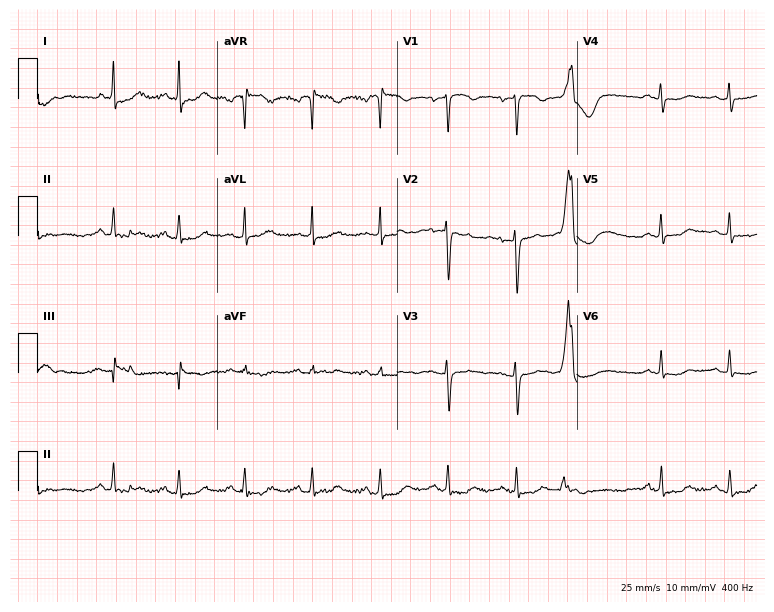
Resting 12-lead electrocardiogram. Patient: a 60-year-old female. None of these six findings is recorded: first-degree AV block, right bundle branch block, left bundle branch block, sinus bradycardia, atrial fibrillation, sinus tachycardia.